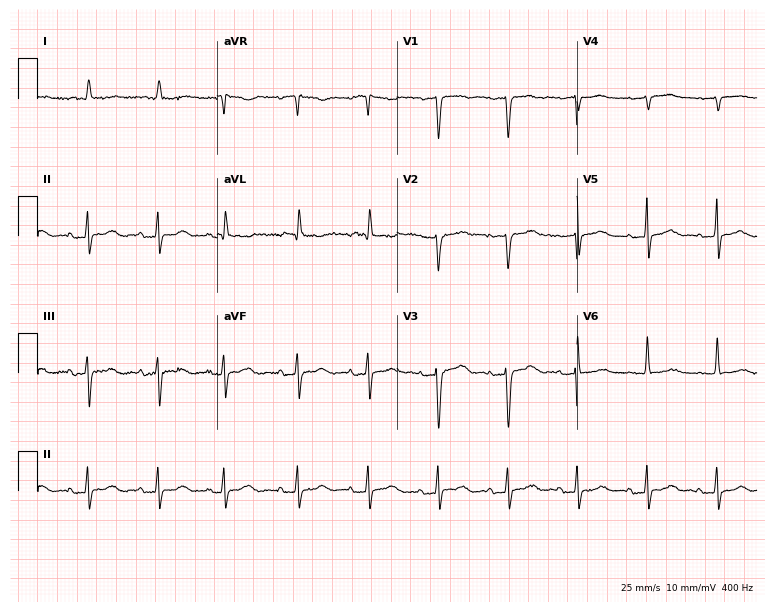
12-lead ECG (7.3-second recording at 400 Hz) from a female aged 90 or older. Screened for six findings — first-degree AV block, right bundle branch block, left bundle branch block, sinus bradycardia, atrial fibrillation, sinus tachycardia — none is recorded. Findings outside these six are not listed.